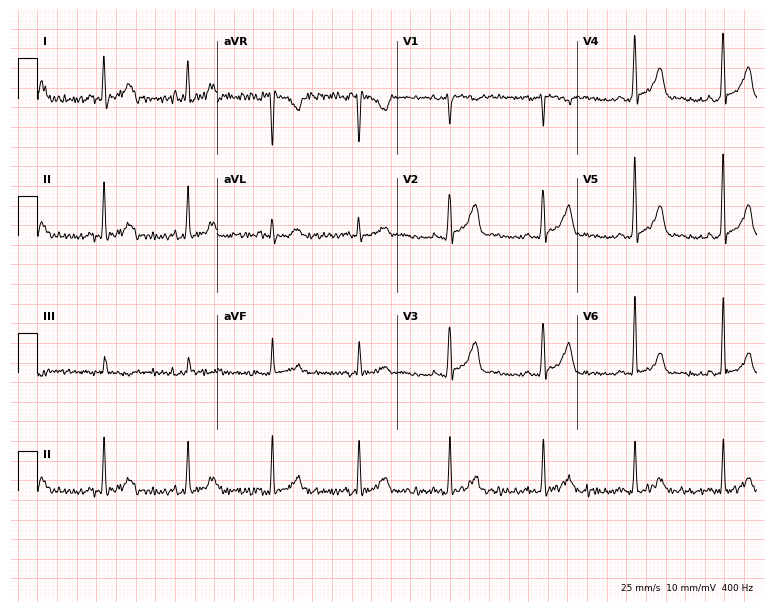
Electrocardiogram, a man, 32 years old. Of the six screened findings (first-degree AV block, right bundle branch block, left bundle branch block, sinus bradycardia, atrial fibrillation, sinus tachycardia), none is recorded.